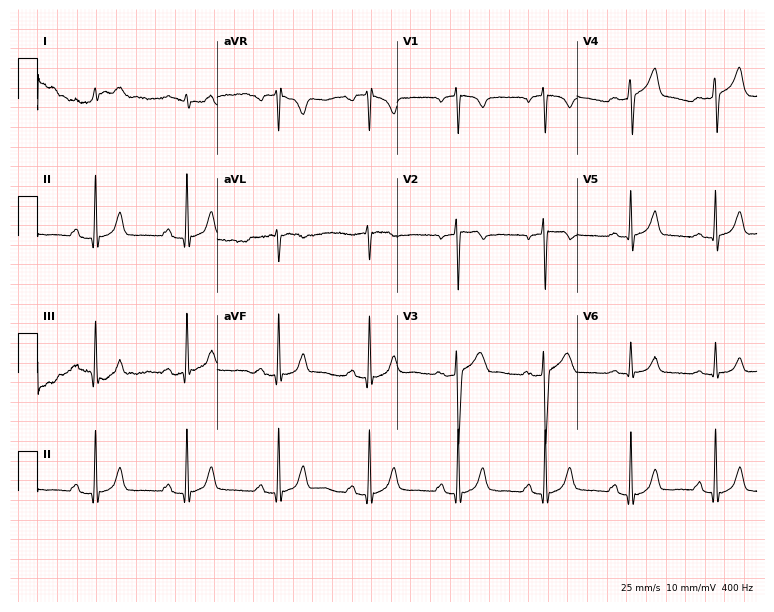
12-lead ECG (7.3-second recording at 400 Hz) from a 56-year-old male. Labelled as a normal ECG.